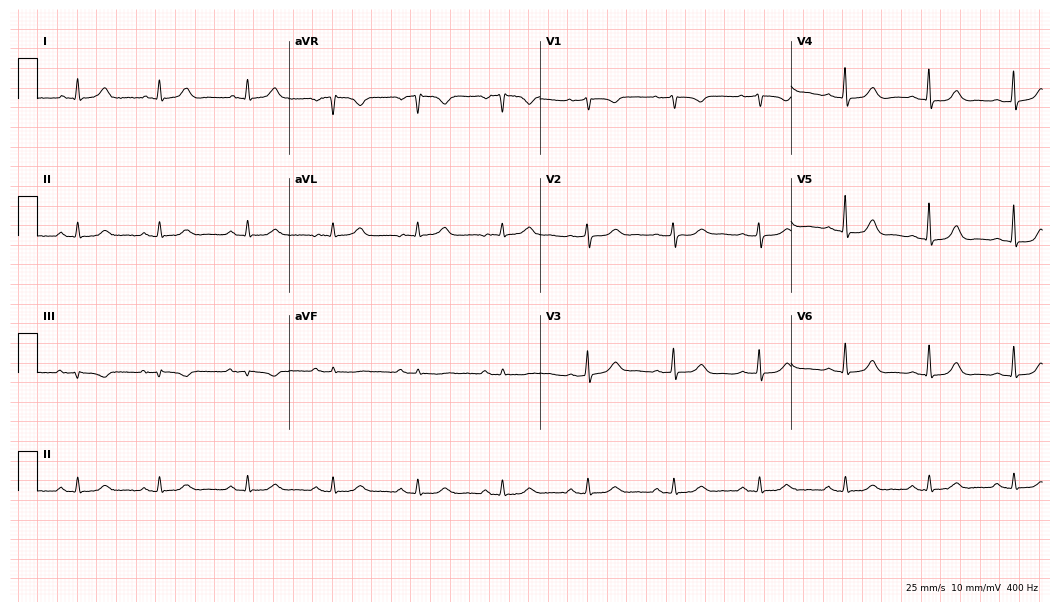
12-lead ECG (10.2-second recording at 400 Hz) from a woman, 58 years old. Labelled as a normal ECG.